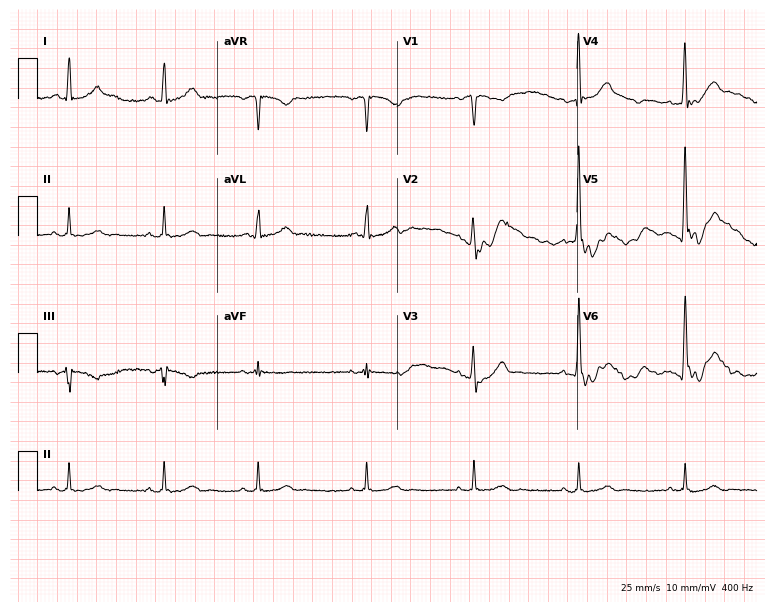
ECG (7.3-second recording at 400 Hz) — a 46-year-old male. Screened for six findings — first-degree AV block, right bundle branch block (RBBB), left bundle branch block (LBBB), sinus bradycardia, atrial fibrillation (AF), sinus tachycardia — none is recorded.